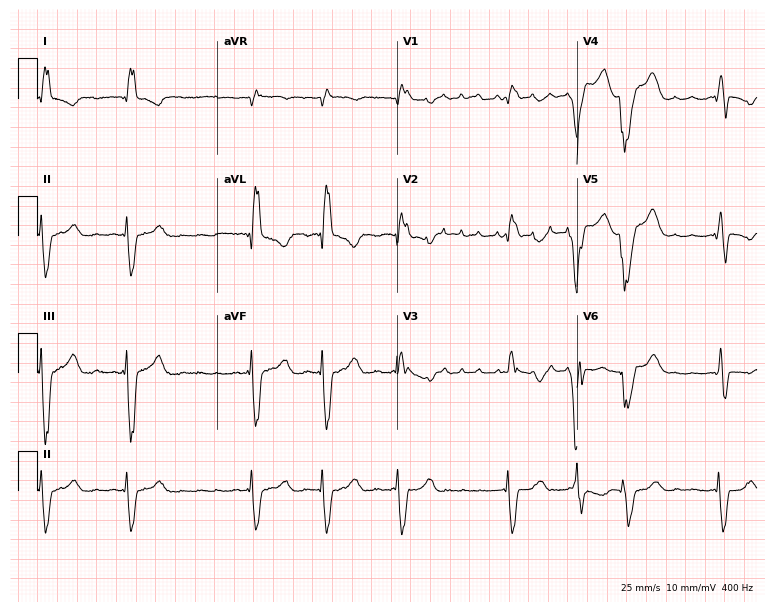
Electrocardiogram (7.3-second recording at 400 Hz), a female patient, 43 years old. Interpretation includes right bundle branch block (RBBB).